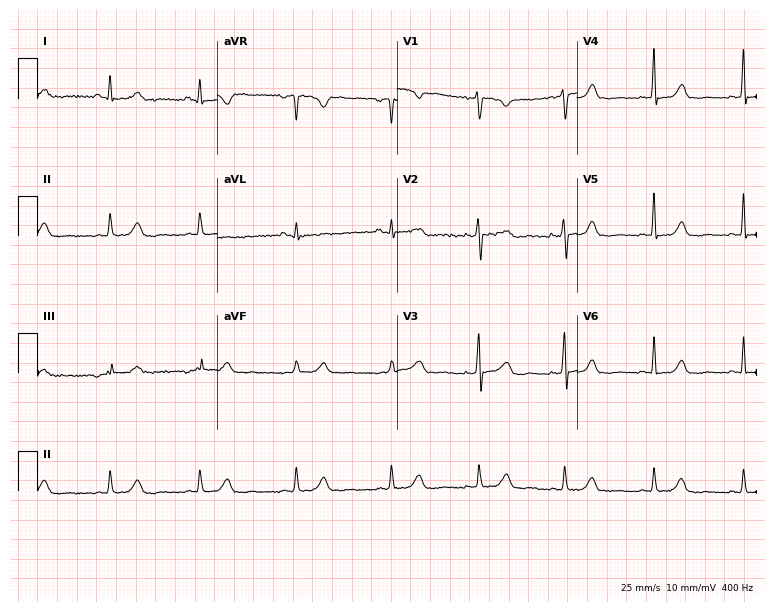
12-lead ECG from a 33-year-old female patient. No first-degree AV block, right bundle branch block (RBBB), left bundle branch block (LBBB), sinus bradycardia, atrial fibrillation (AF) or sinus tachycardia recorded for this tracing. Other findings, if any, are not listed.